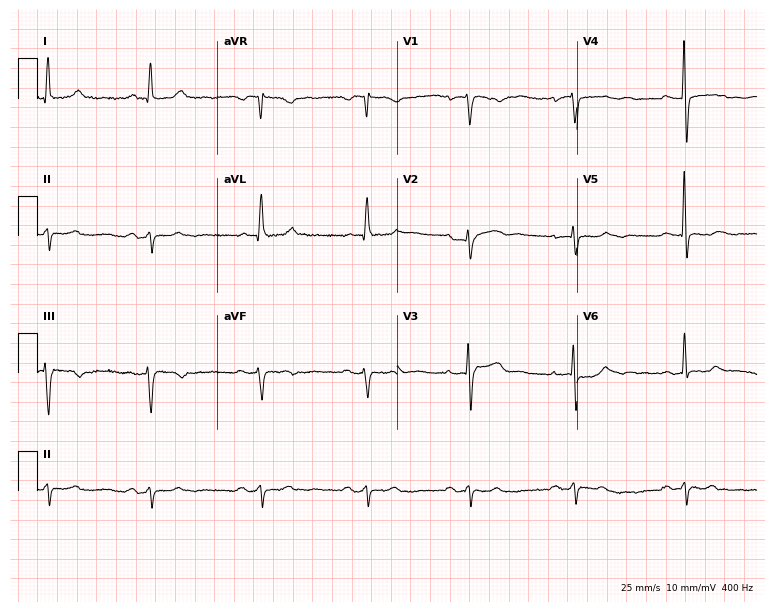
ECG (7.3-second recording at 400 Hz) — an 81-year-old male patient. Screened for six findings — first-degree AV block, right bundle branch block (RBBB), left bundle branch block (LBBB), sinus bradycardia, atrial fibrillation (AF), sinus tachycardia — none is recorded. Only these six findings were labelled.